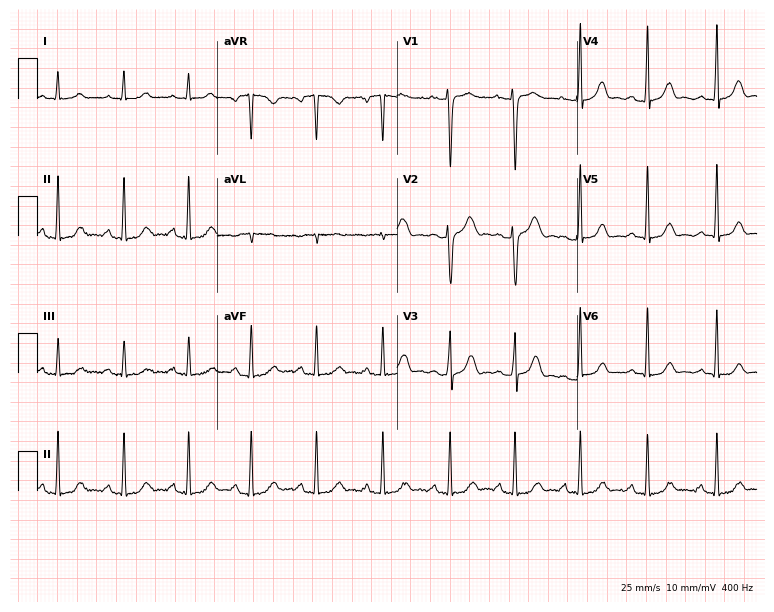
Electrocardiogram, a 30-year-old female. Of the six screened findings (first-degree AV block, right bundle branch block (RBBB), left bundle branch block (LBBB), sinus bradycardia, atrial fibrillation (AF), sinus tachycardia), none is recorded.